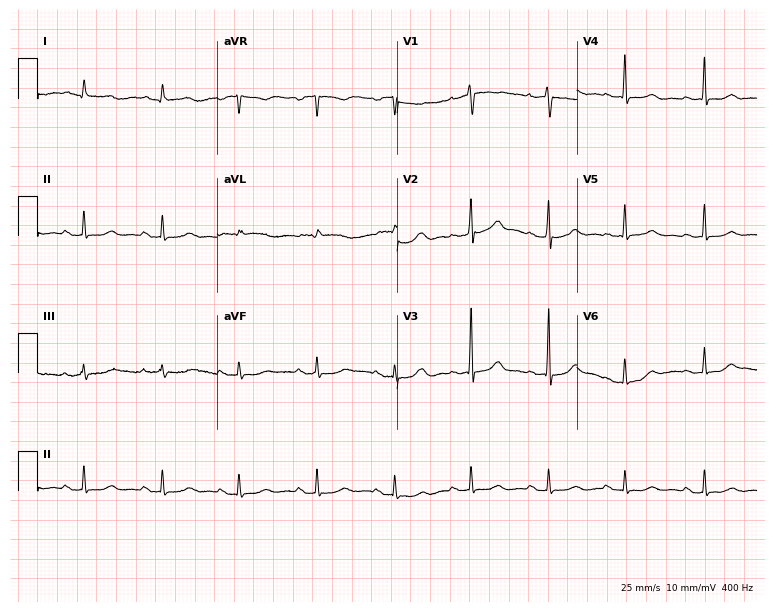
12-lead ECG from a 54-year-old female (7.3-second recording at 400 Hz). Recorded interpretation: within normal limits.